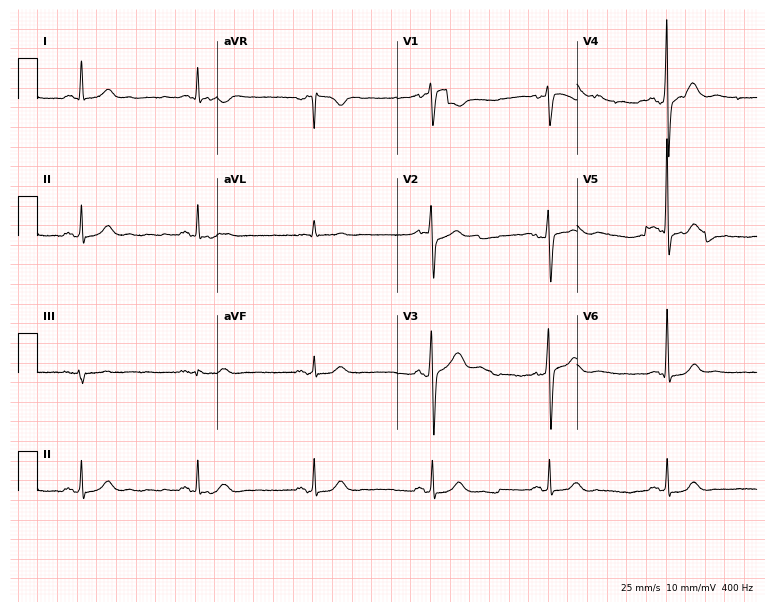
12-lead ECG from a 66-year-old female. Recorded interpretation: within normal limits.